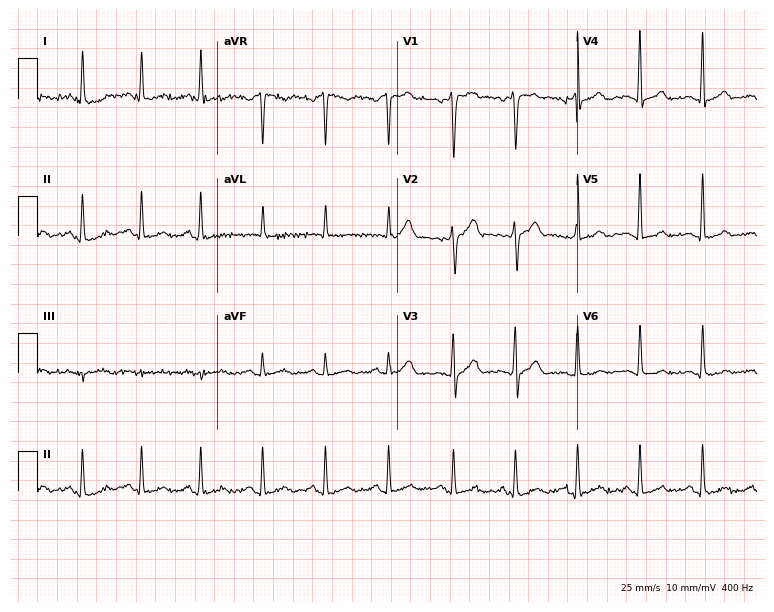
Electrocardiogram, a 45-year-old male. Of the six screened findings (first-degree AV block, right bundle branch block (RBBB), left bundle branch block (LBBB), sinus bradycardia, atrial fibrillation (AF), sinus tachycardia), none is recorded.